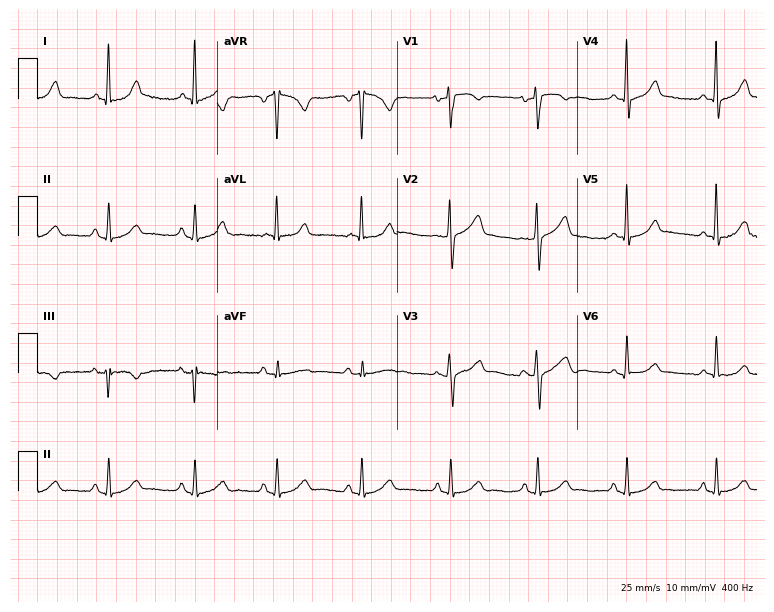
Electrocardiogram (7.3-second recording at 400 Hz), a woman, 38 years old. Of the six screened findings (first-degree AV block, right bundle branch block, left bundle branch block, sinus bradycardia, atrial fibrillation, sinus tachycardia), none is recorded.